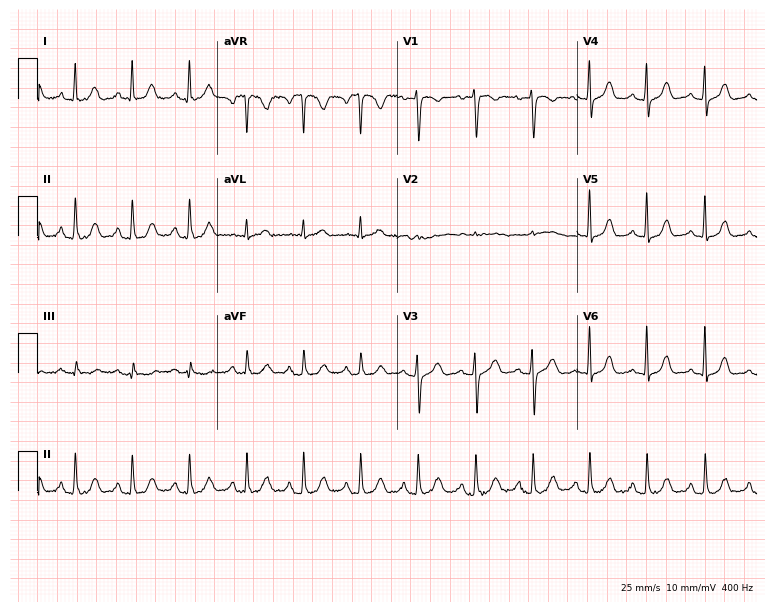
Electrocardiogram, a 49-year-old female patient. Interpretation includes sinus tachycardia (a sinus rate of 100 beats per minute or more).